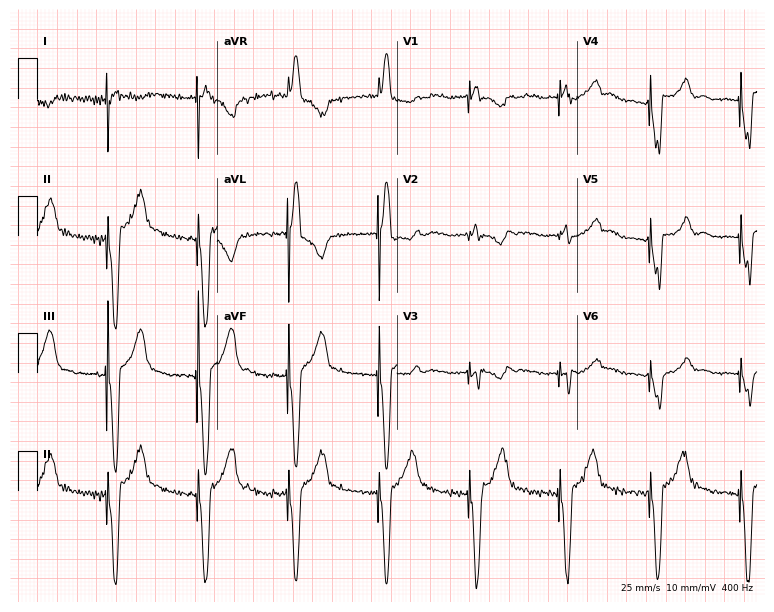
ECG (7.3-second recording at 400 Hz) — a woman, 66 years old. Screened for six findings — first-degree AV block, right bundle branch block (RBBB), left bundle branch block (LBBB), sinus bradycardia, atrial fibrillation (AF), sinus tachycardia — none is recorded.